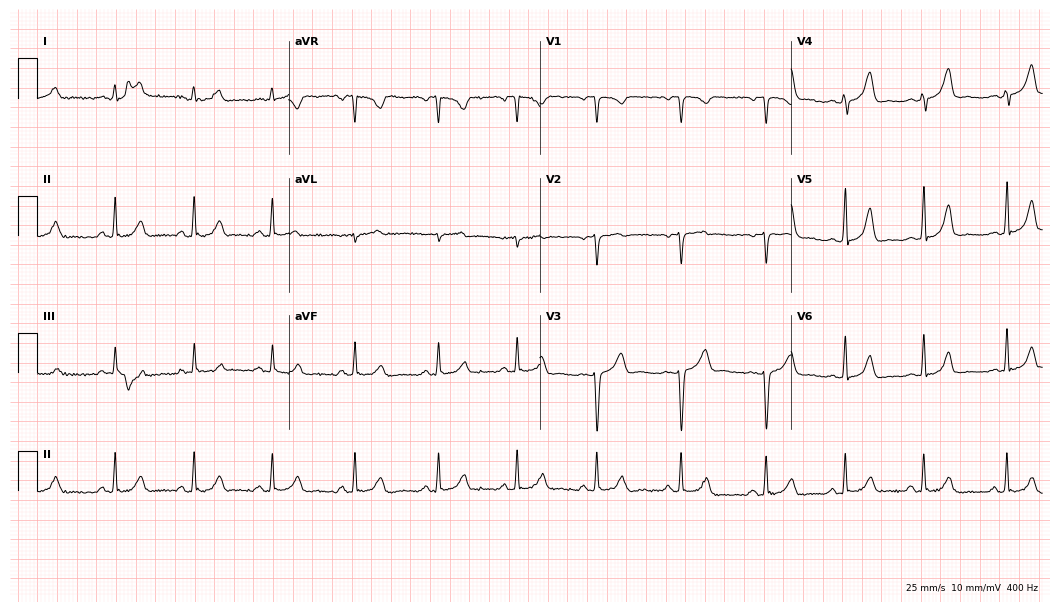
Electrocardiogram (10.2-second recording at 400 Hz), a female, 37 years old. Overall reading on record: normal ECG.